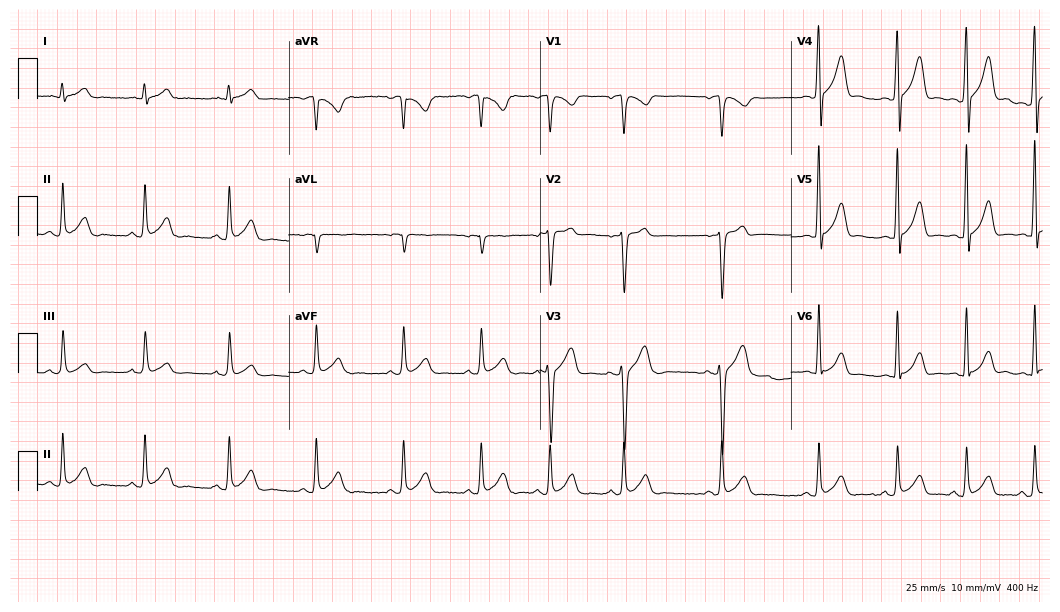
ECG (10.2-second recording at 400 Hz) — a 19-year-old man. Screened for six findings — first-degree AV block, right bundle branch block (RBBB), left bundle branch block (LBBB), sinus bradycardia, atrial fibrillation (AF), sinus tachycardia — none is recorded.